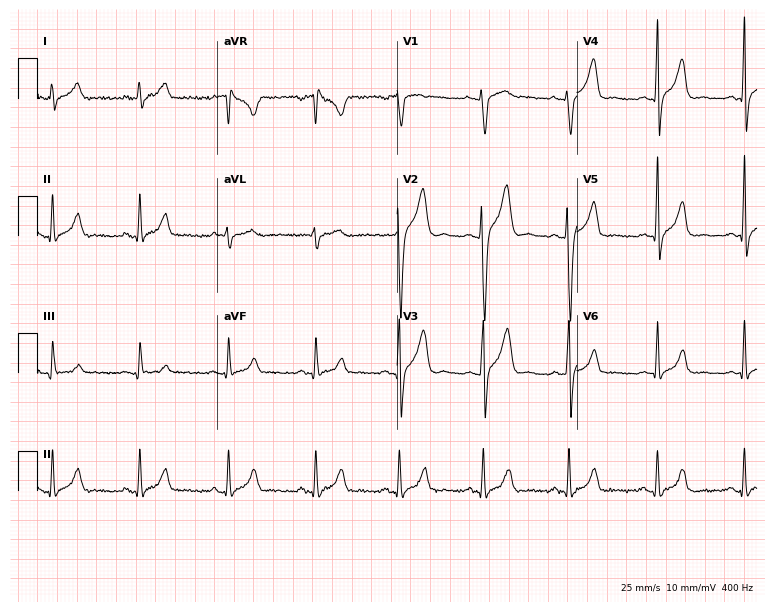
12-lead ECG (7.3-second recording at 400 Hz) from a male patient, 23 years old. Labelled as a normal ECG.